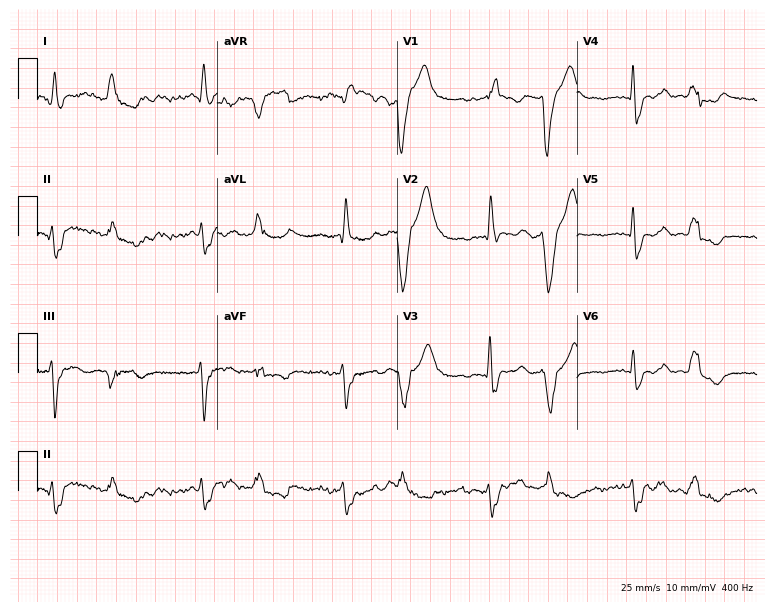
12-lead ECG from a 53-year-old woman. Shows right bundle branch block.